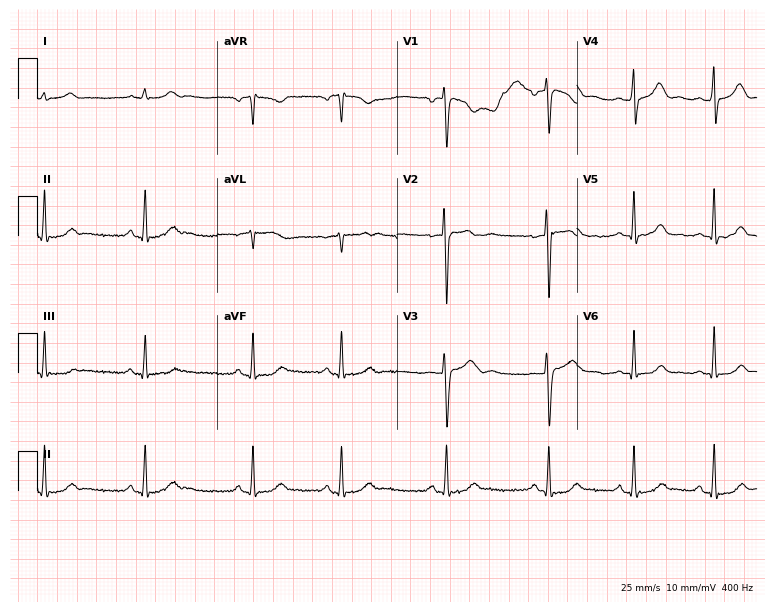
Standard 12-lead ECG recorded from a female, 26 years old. None of these six findings is recorded: first-degree AV block, right bundle branch block, left bundle branch block, sinus bradycardia, atrial fibrillation, sinus tachycardia. Findings outside these six are not listed.